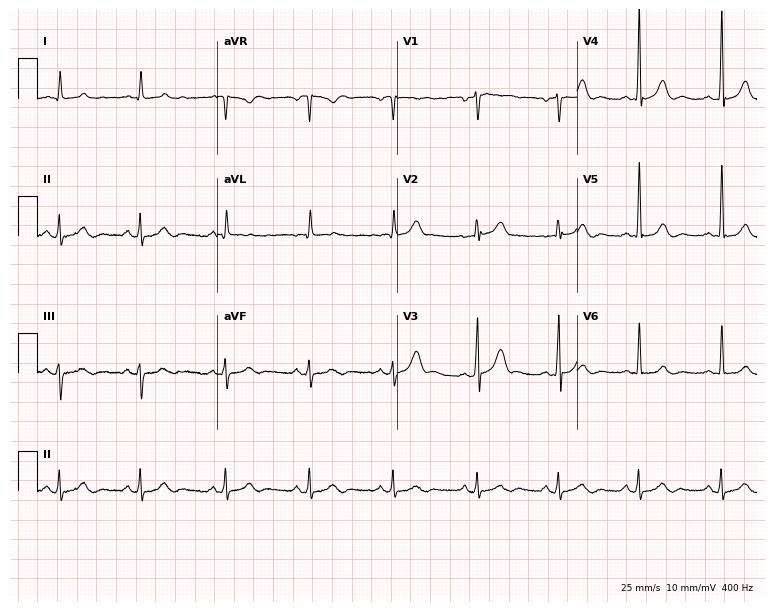
Electrocardiogram, a male, 28 years old. Overall reading on record: normal ECG.